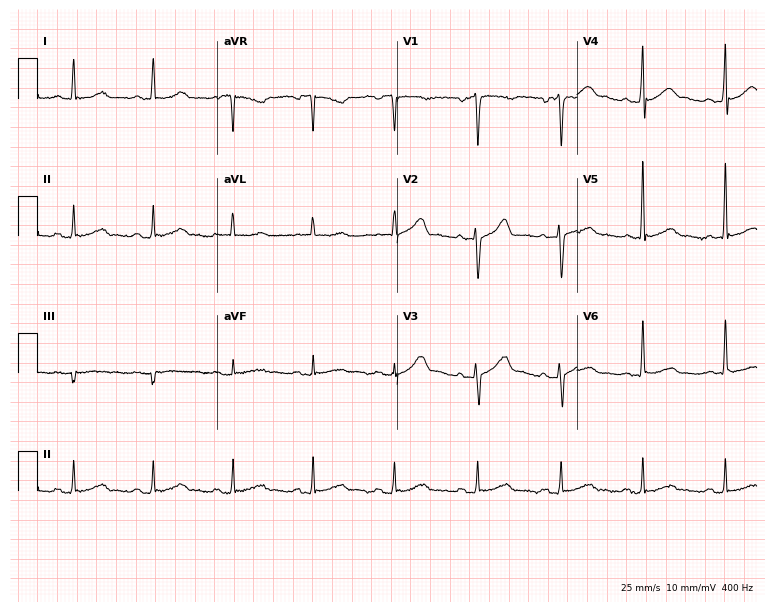
Electrocardiogram, a male, 56 years old. Overall reading on record: normal ECG.